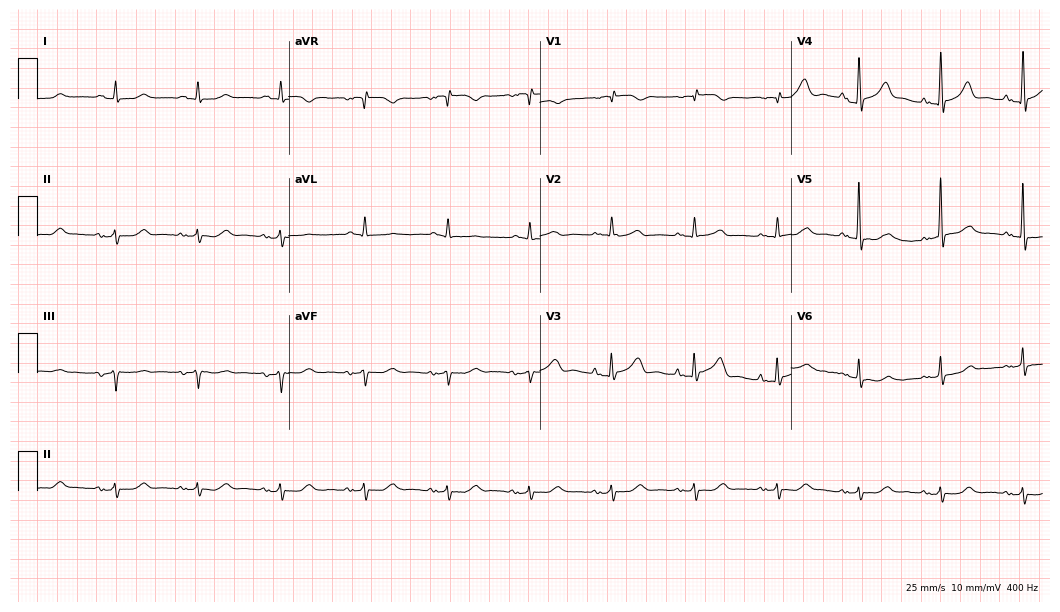
ECG — an 84-year-old male. Screened for six findings — first-degree AV block, right bundle branch block (RBBB), left bundle branch block (LBBB), sinus bradycardia, atrial fibrillation (AF), sinus tachycardia — none is recorded. Other findings, if any, are not listed.